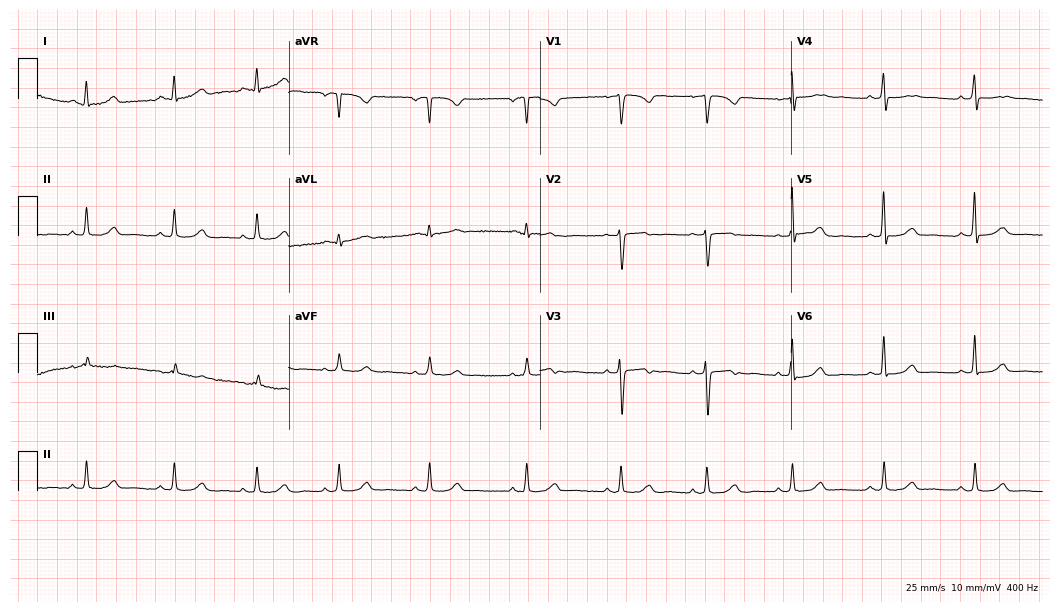
Resting 12-lead electrocardiogram. Patient: a female, 32 years old. None of these six findings is recorded: first-degree AV block, right bundle branch block, left bundle branch block, sinus bradycardia, atrial fibrillation, sinus tachycardia.